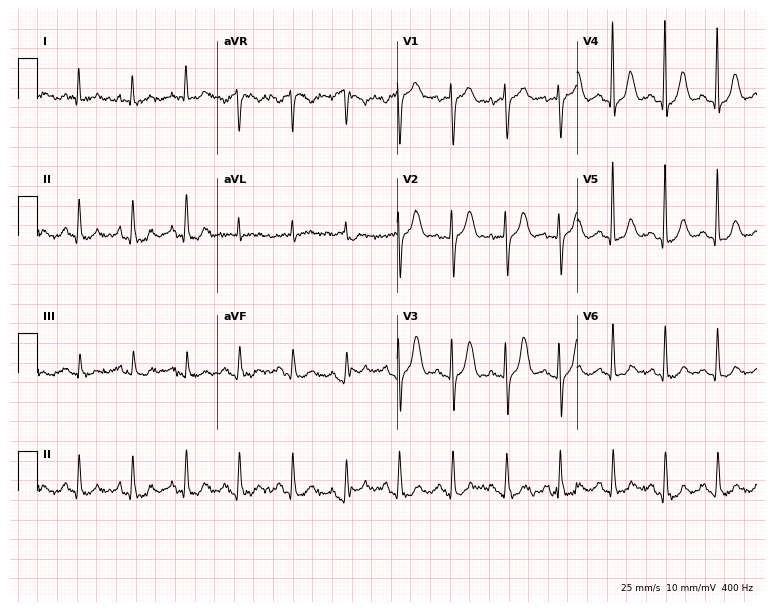
12-lead ECG from a female, 84 years old (7.3-second recording at 400 Hz). No first-degree AV block, right bundle branch block (RBBB), left bundle branch block (LBBB), sinus bradycardia, atrial fibrillation (AF) or sinus tachycardia recorded for this tracing. Other findings, if any, are not listed.